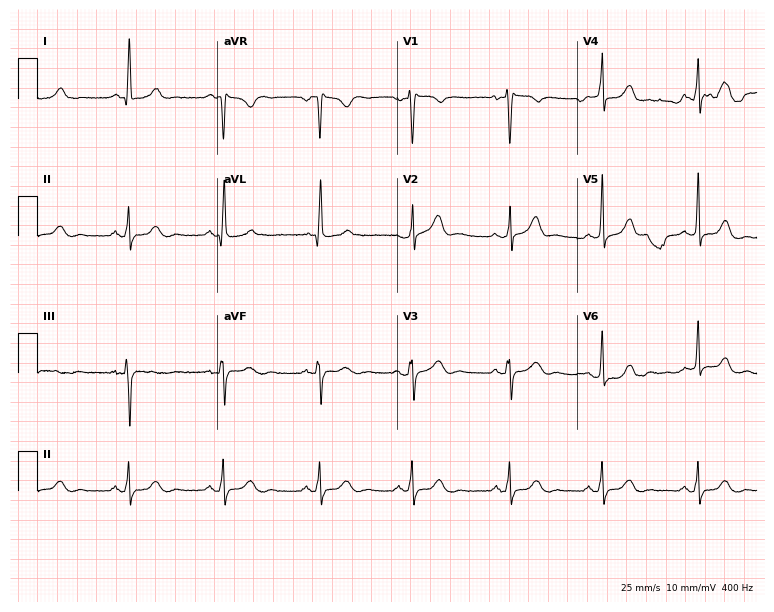
12-lead ECG from a woman, 72 years old. Labelled as a normal ECG.